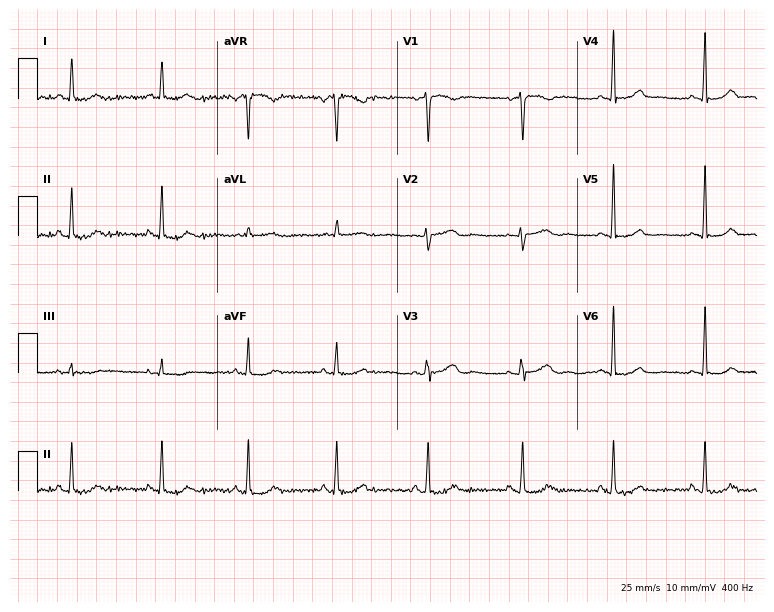
ECG — a female, 38 years old. Labelled as a normal ECG.